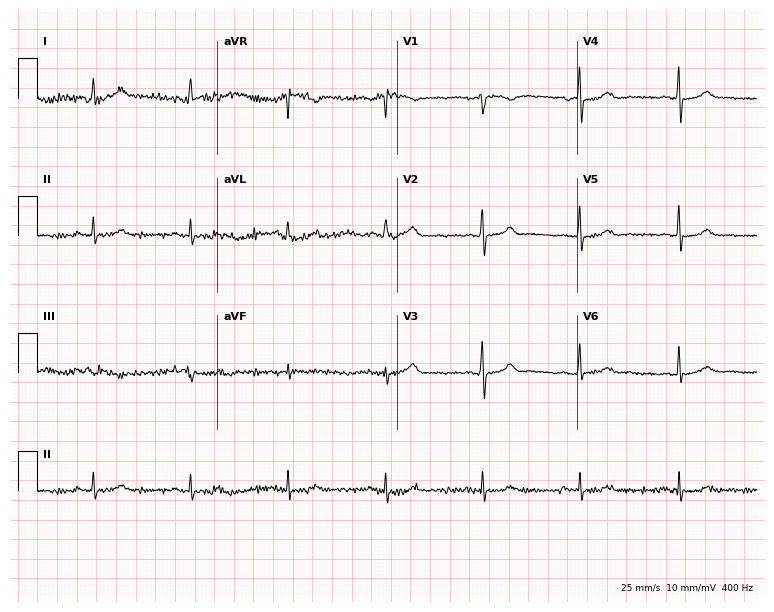
12-lead ECG from a 64-year-old woman. Recorded interpretation: within normal limits.